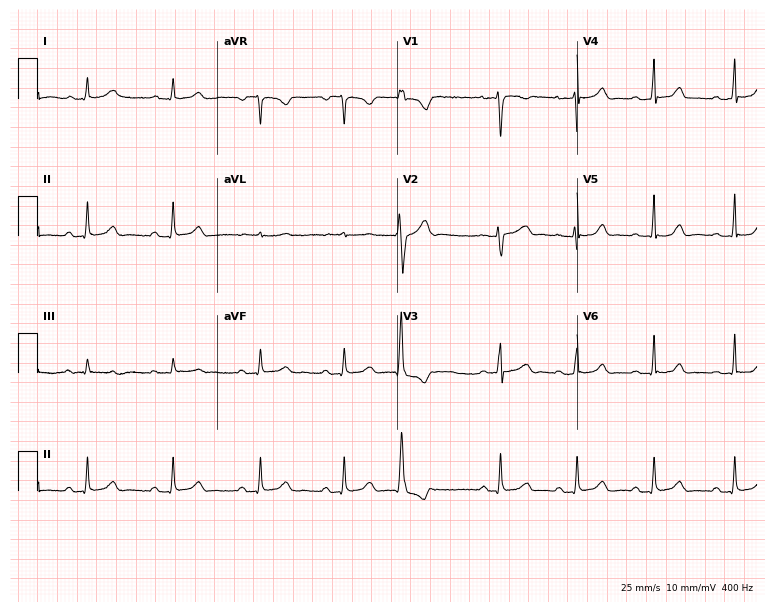
Resting 12-lead electrocardiogram. Patient: a 26-year-old female. Read as a normal ECG.